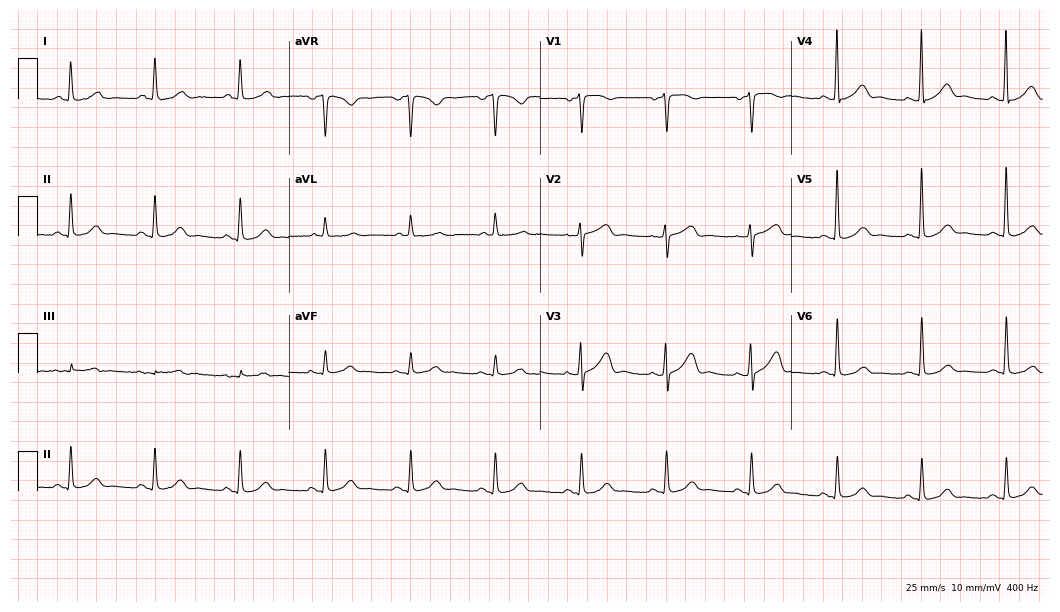
12-lead ECG from a 75-year-old female patient (10.2-second recording at 400 Hz). Recorded interpretation: within normal limits.